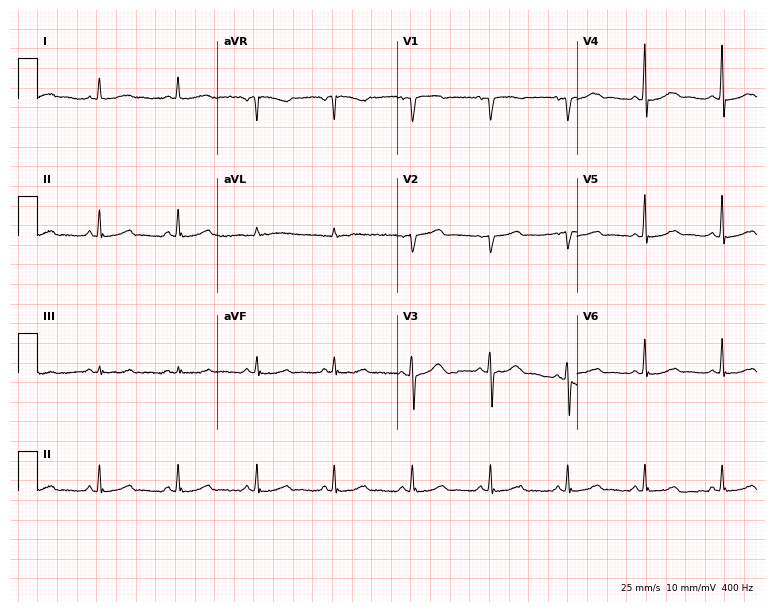
12-lead ECG (7.3-second recording at 400 Hz) from a 68-year-old female patient. Labelled as a normal ECG.